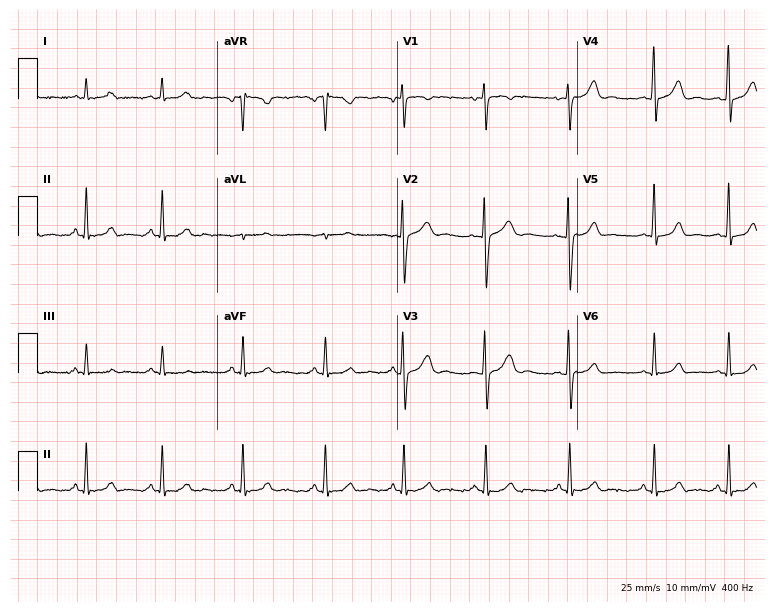
Electrocardiogram (7.3-second recording at 400 Hz), a woman, 24 years old. Of the six screened findings (first-degree AV block, right bundle branch block, left bundle branch block, sinus bradycardia, atrial fibrillation, sinus tachycardia), none is recorded.